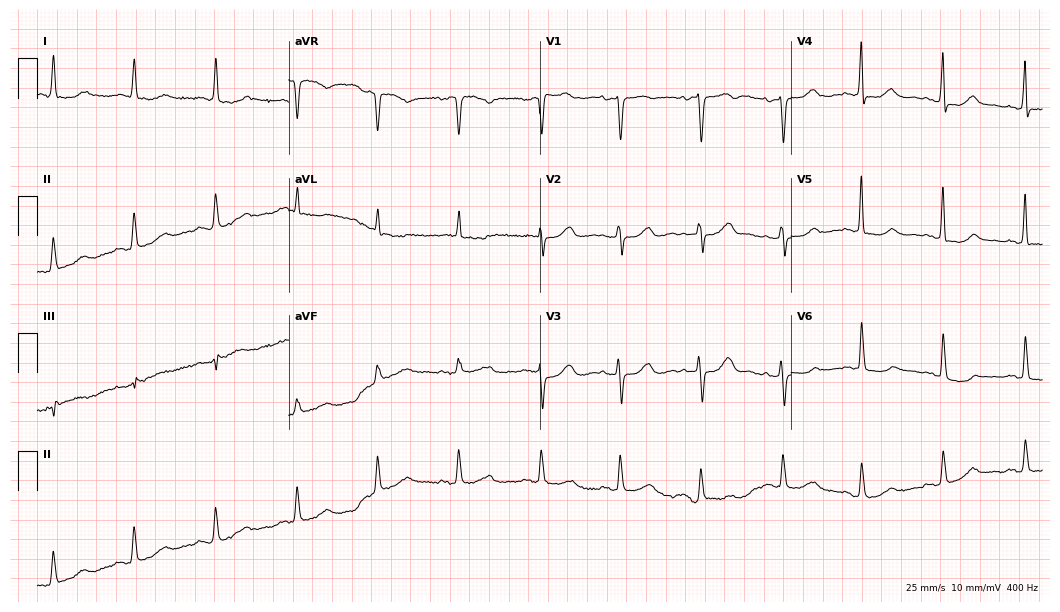
12-lead ECG from a female patient, 75 years old. Labelled as a normal ECG.